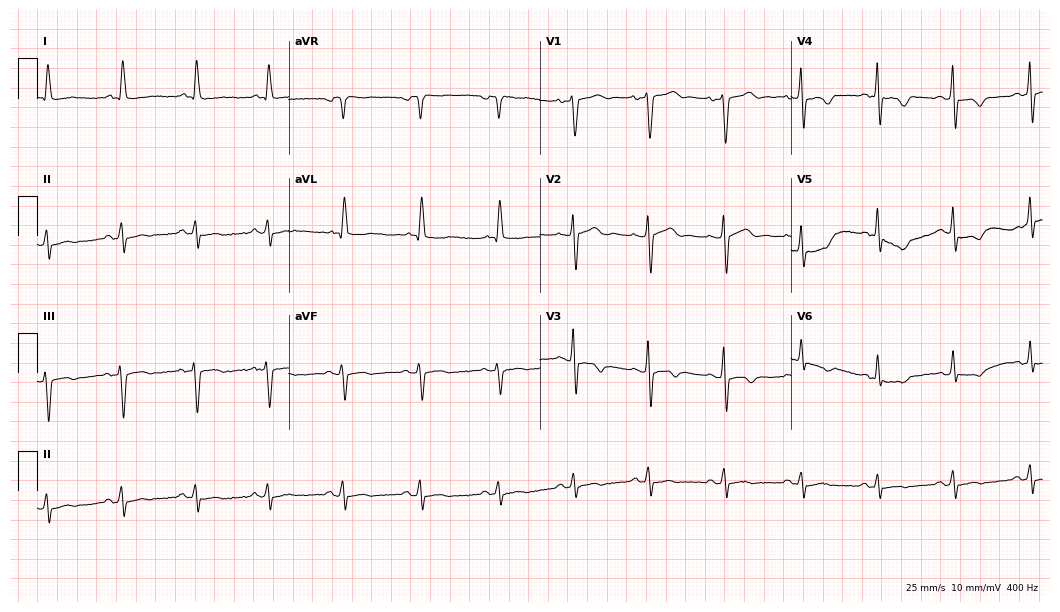
ECG (10.2-second recording at 400 Hz) — a male patient, 65 years old. Screened for six findings — first-degree AV block, right bundle branch block (RBBB), left bundle branch block (LBBB), sinus bradycardia, atrial fibrillation (AF), sinus tachycardia — none is recorded.